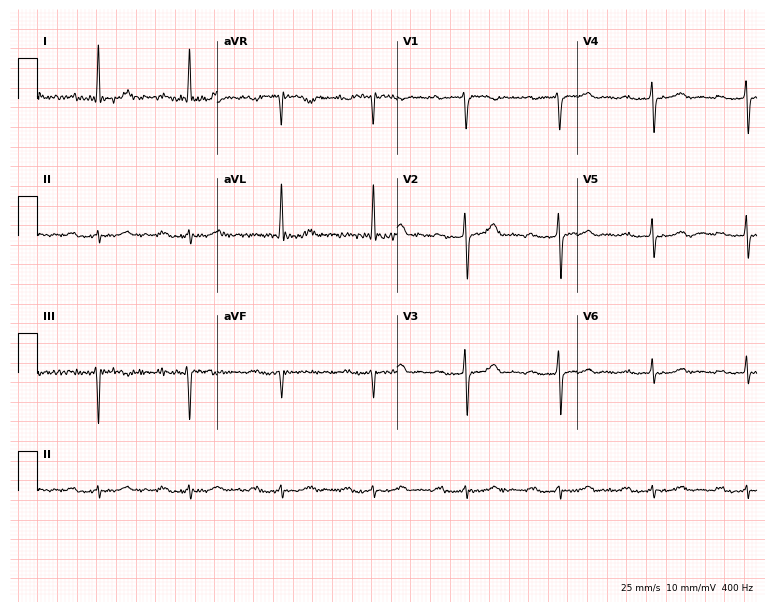
ECG (7.3-second recording at 400 Hz) — an 80-year-old man. Findings include first-degree AV block.